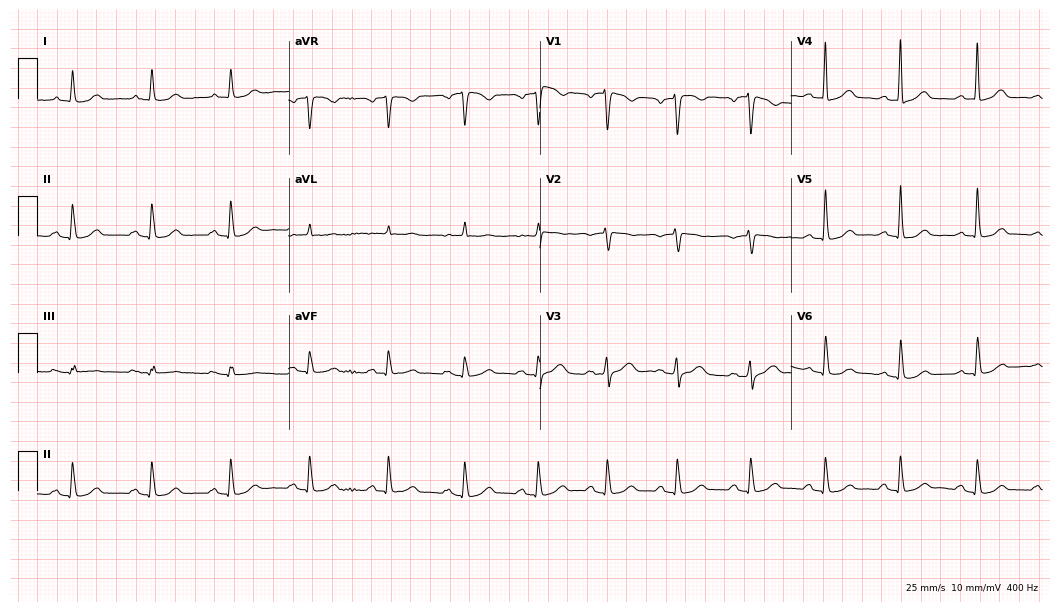
ECG (10.2-second recording at 400 Hz) — a man, 67 years old. Labelled as a normal ECG.